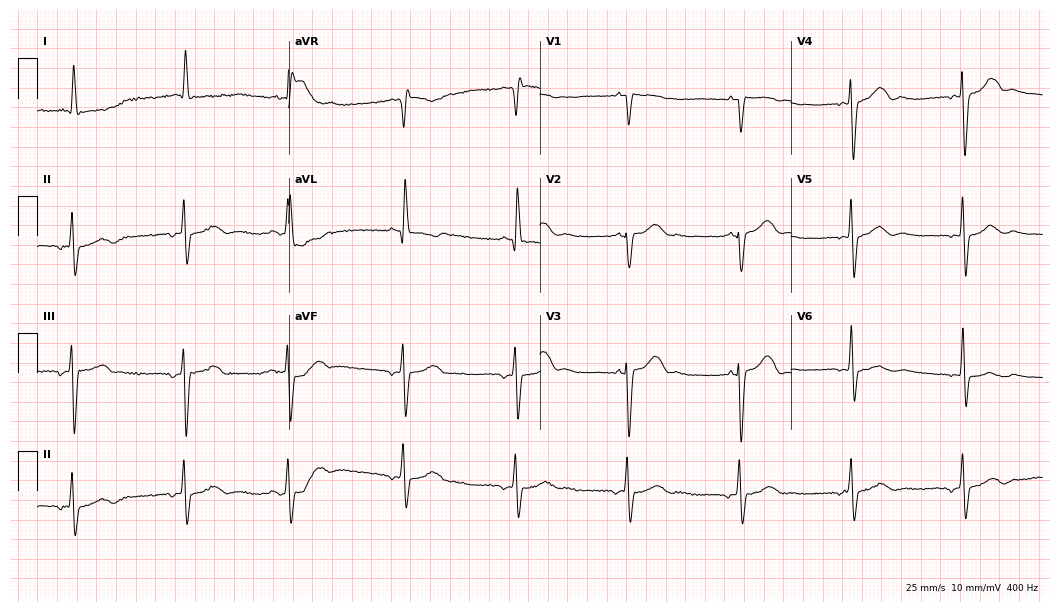
Electrocardiogram, an 89-year-old female. Of the six screened findings (first-degree AV block, right bundle branch block, left bundle branch block, sinus bradycardia, atrial fibrillation, sinus tachycardia), none is recorded.